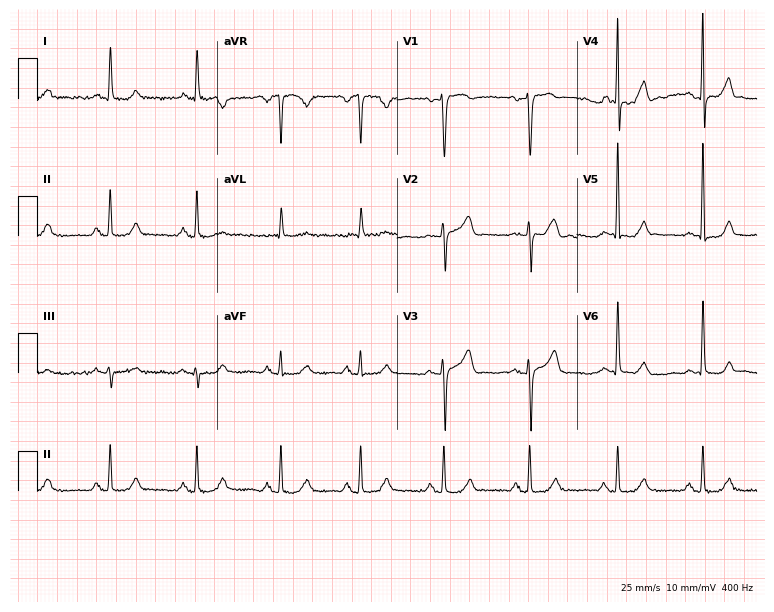
Electrocardiogram (7.3-second recording at 400 Hz), a 51-year-old female patient. Of the six screened findings (first-degree AV block, right bundle branch block, left bundle branch block, sinus bradycardia, atrial fibrillation, sinus tachycardia), none is recorded.